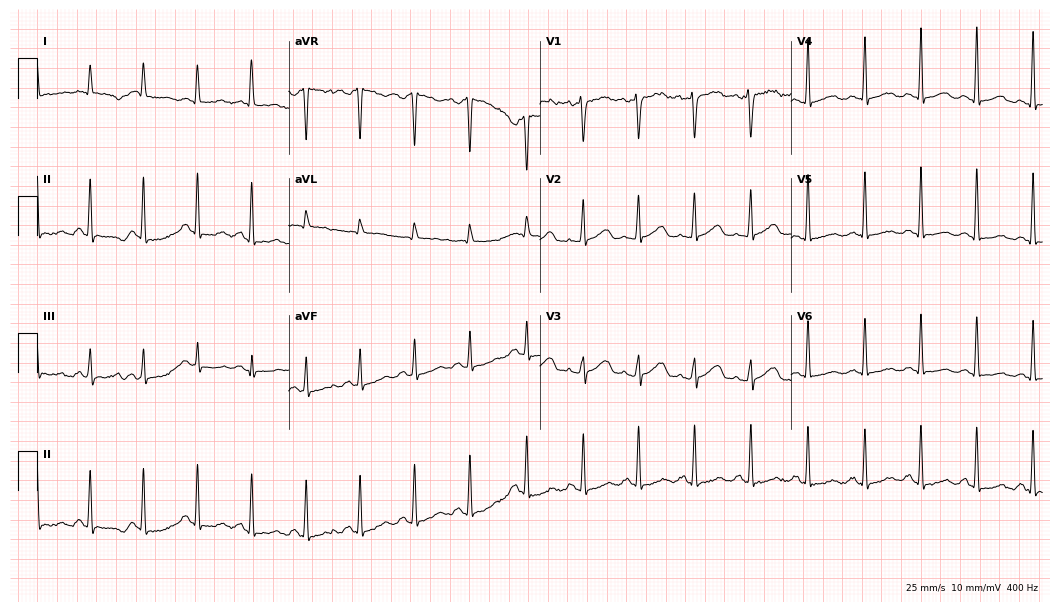
ECG — a female patient, 43 years old. Findings include sinus tachycardia (a sinus rate of 100 beats per minute or more).